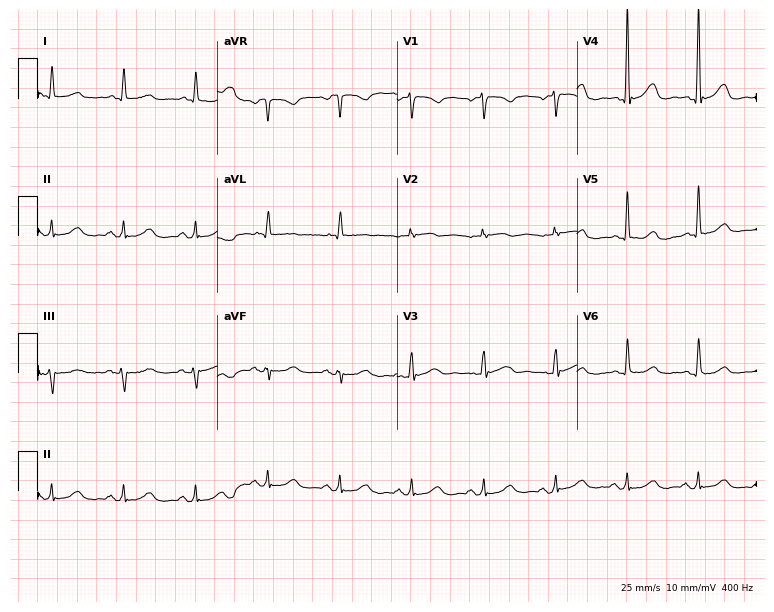
Standard 12-lead ECG recorded from a 57-year-old female patient. None of these six findings is recorded: first-degree AV block, right bundle branch block, left bundle branch block, sinus bradycardia, atrial fibrillation, sinus tachycardia. Other findings, if any, are not listed.